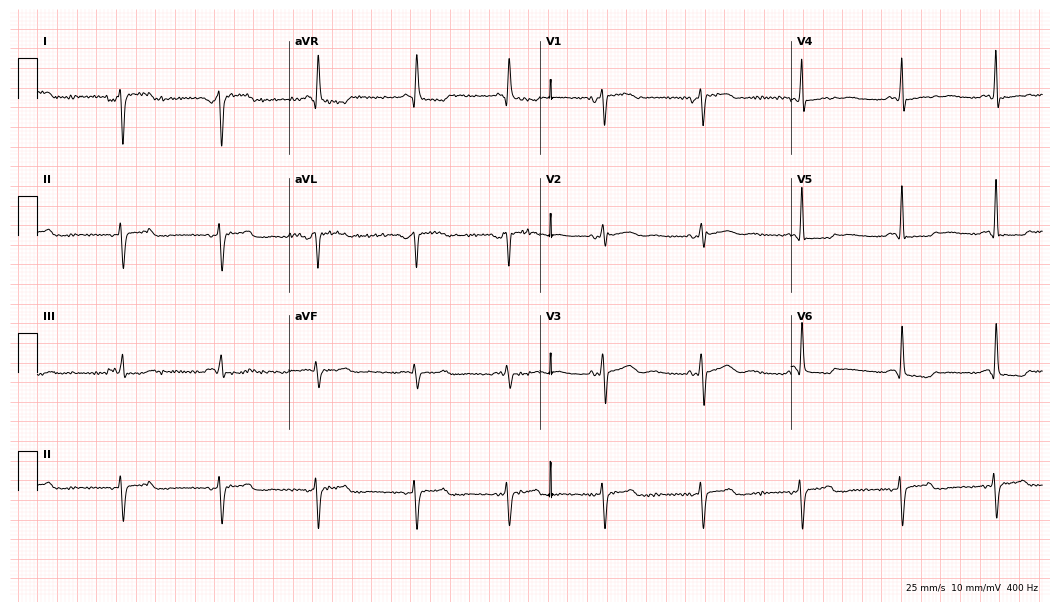
12-lead ECG from a 58-year-old female. No first-degree AV block, right bundle branch block (RBBB), left bundle branch block (LBBB), sinus bradycardia, atrial fibrillation (AF) or sinus tachycardia recorded for this tracing. Findings outside these six are not listed.